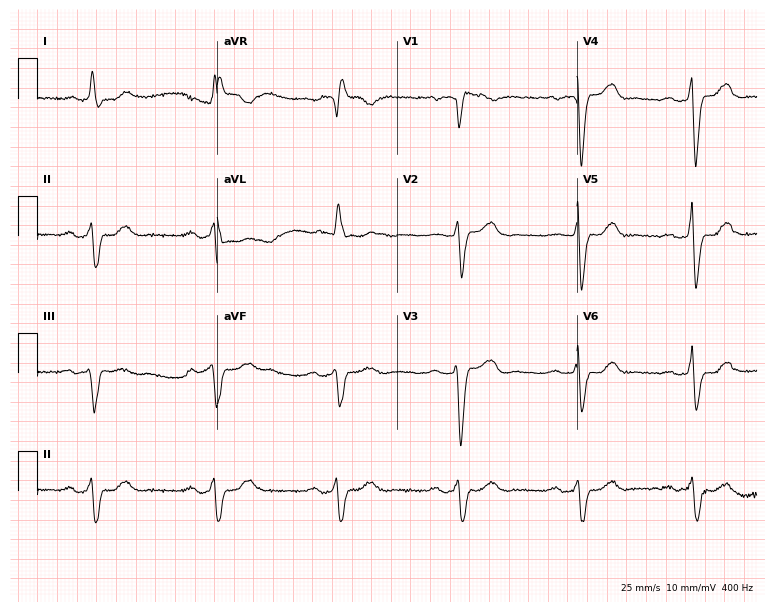
Resting 12-lead electrocardiogram (7.3-second recording at 400 Hz). Patient: a woman, 66 years old. The tracing shows first-degree AV block, right bundle branch block.